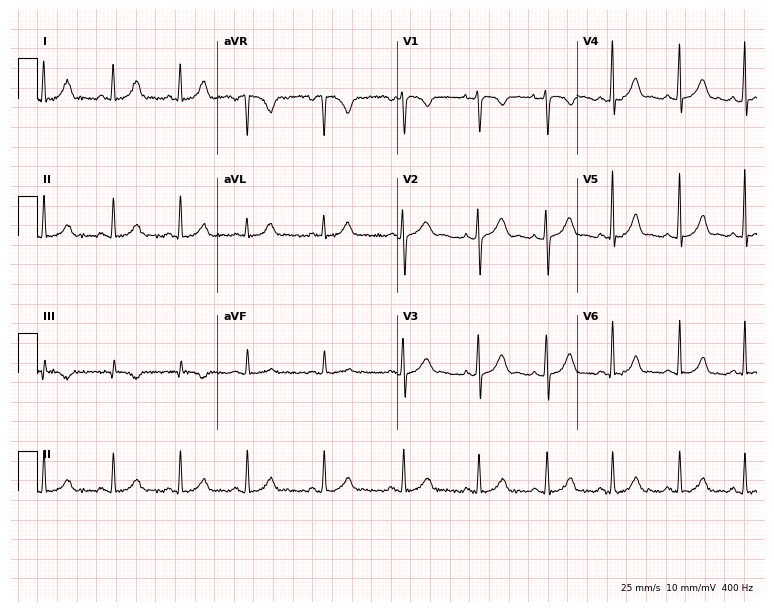
Electrocardiogram (7.3-second recording at 400 Hz), a female, 28 years old. Overall reading on record: normal ECG.